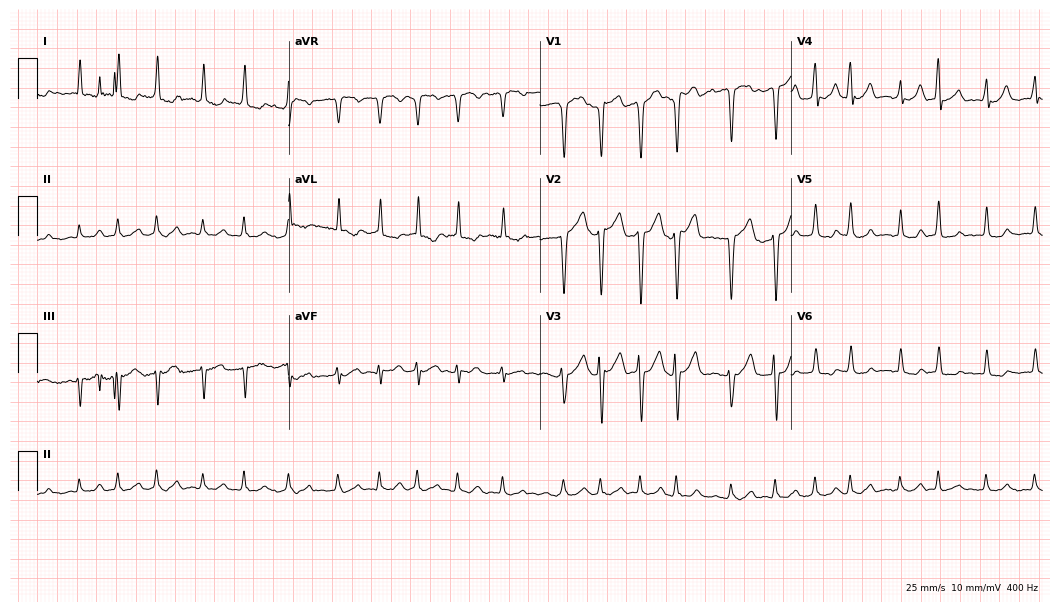
12-lead ECG from a 52-year-old female. Shows atrial fibrillation.